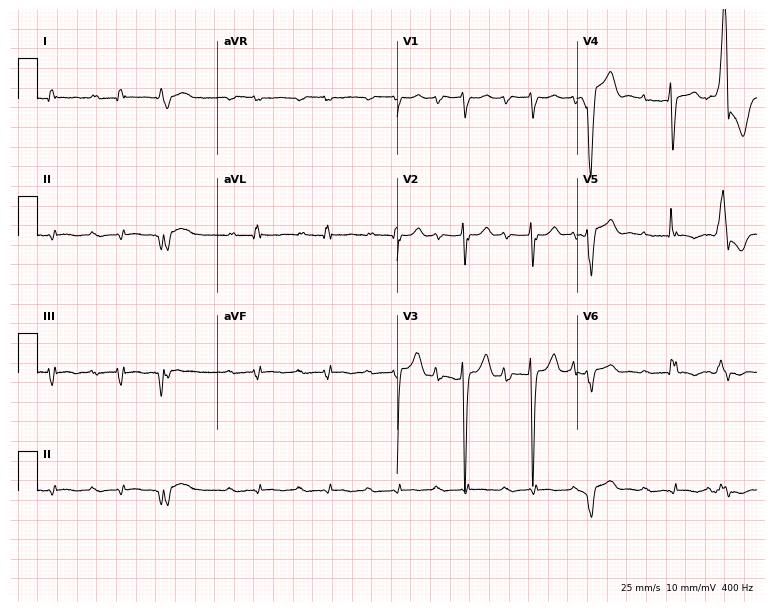
Standard 12-lead ECG recorded from a 58-year-old male patient. None of these six findings is recorded: first-degree AV block, right bundle branch block, left bundle branch block, sinus bradycardia, atrial fibrillation, sinus tachycardia. Findings outside these six are not listed.